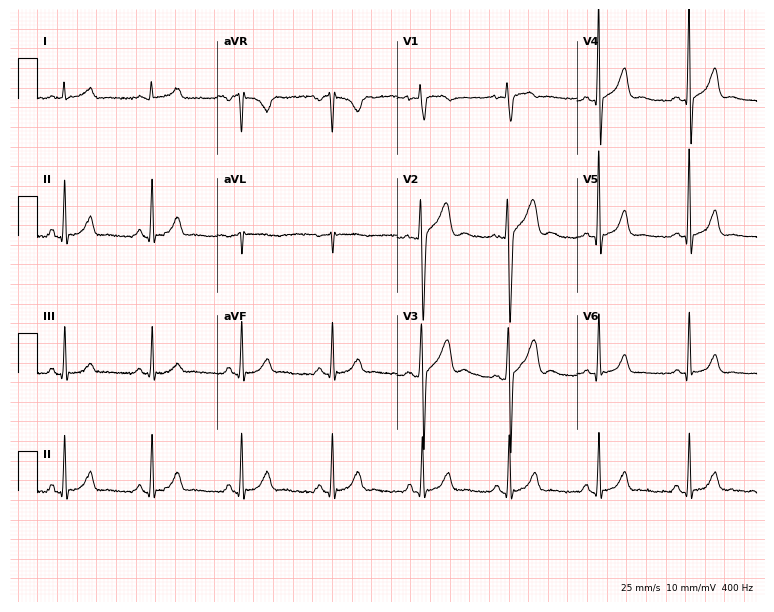
ECG (7.3-second recording at 400 Hz) — a 29-year-old male patient. Screened for six findings — first-degree AV block, right bundle branch block (RBBB), left bundle branch block (LBBB), sinus bradycardia, atrial fibrillation (AF), sinus tachycardia — none is recorded. Findings outside these six are not listed.